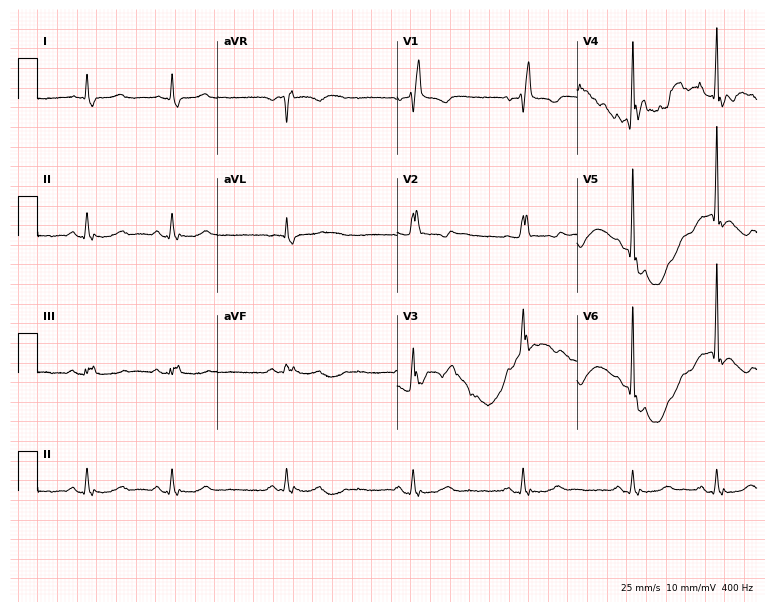
Standard 12-lead ECG recorded from a man, 73 years old (7.3-second recording at 400 Hz). The tracing shows right bundle branch block (RBBB).